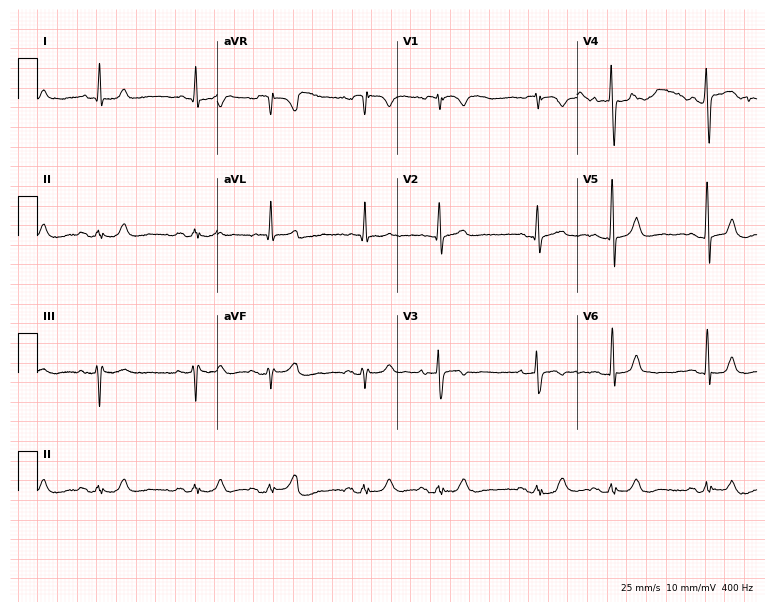
Resting 12-lead electrocardiogram (7.3-second recording at 400 Hz). Patient: an 82-year-old man. Read as a normal ECG.